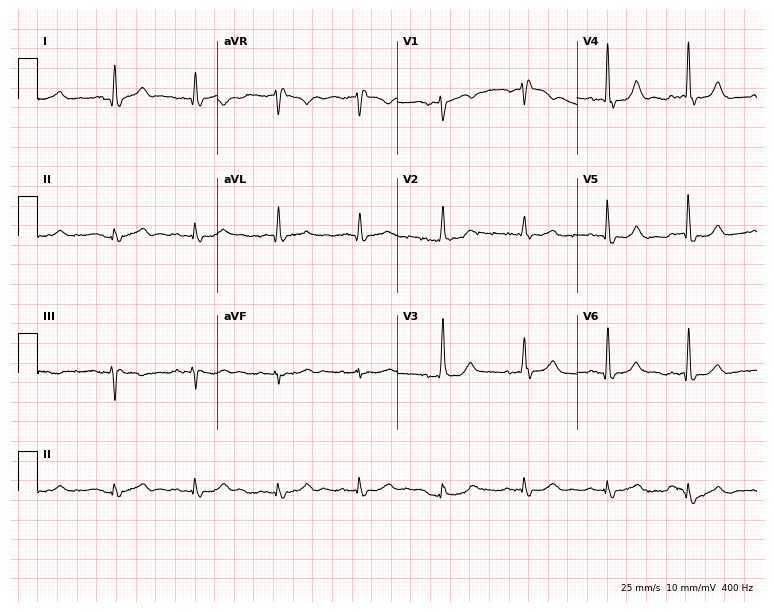
Electrocardiogram, a male, 69 years old. Interpretation includes right bundle branch block (RBBB).